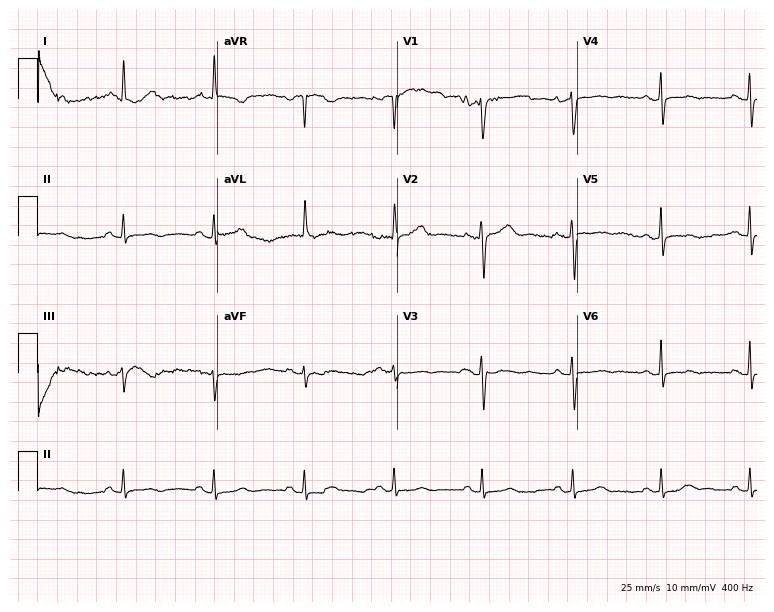
Electrocardiogram (7.3-second recording at 400 Hz), a woman, 70 years old. Overall reading on record: normal ECG.